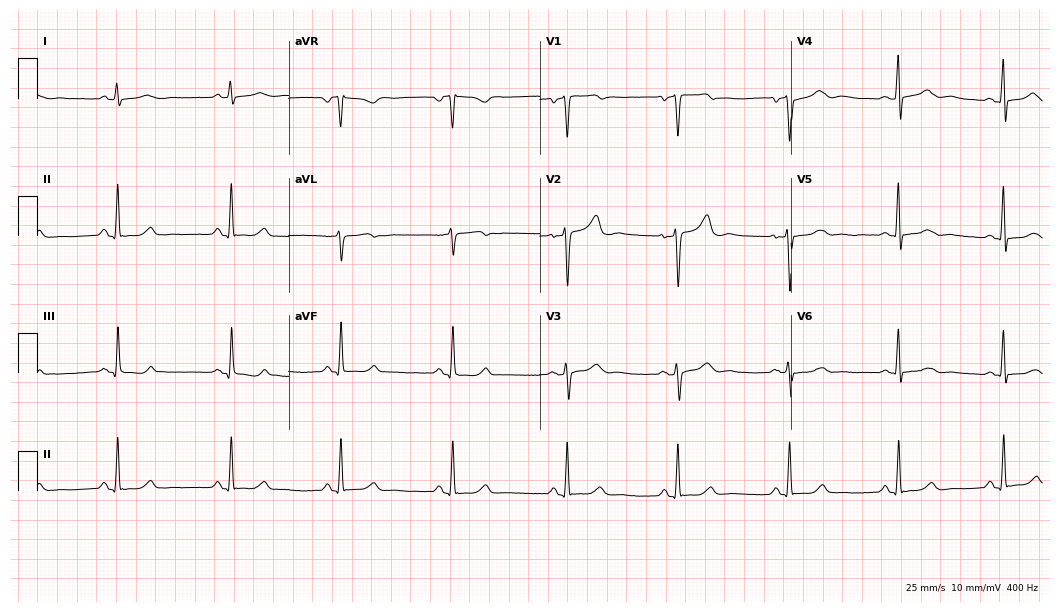
Electrocardiogram (10.2-second recording at 400 Hz), a female, 45 years old. Overall reading on record: normal ECG.